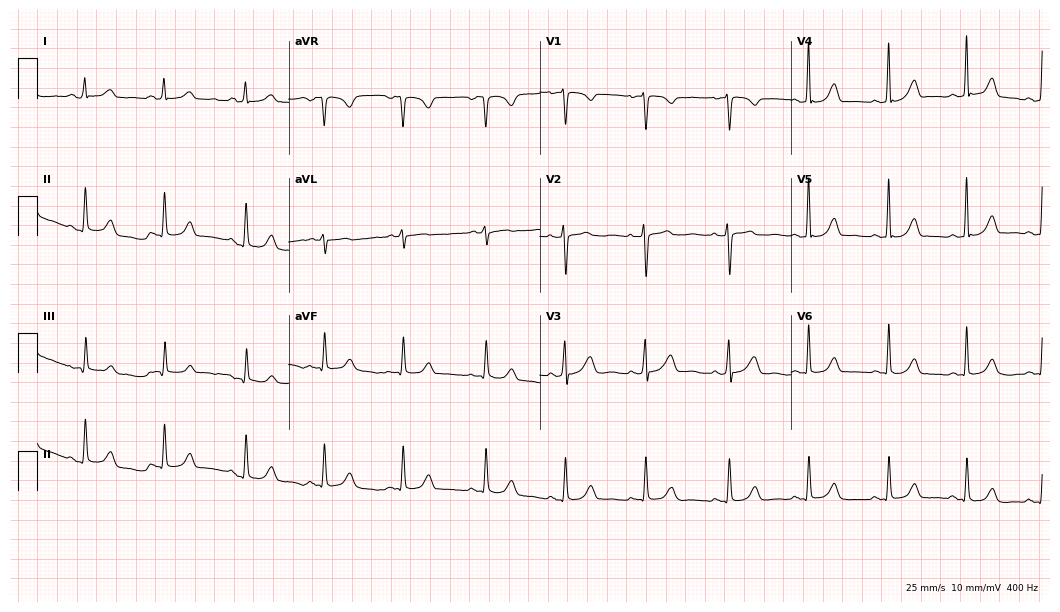
12-lead ECG from a 24-year-old woman. Labelled as a normal ECG.